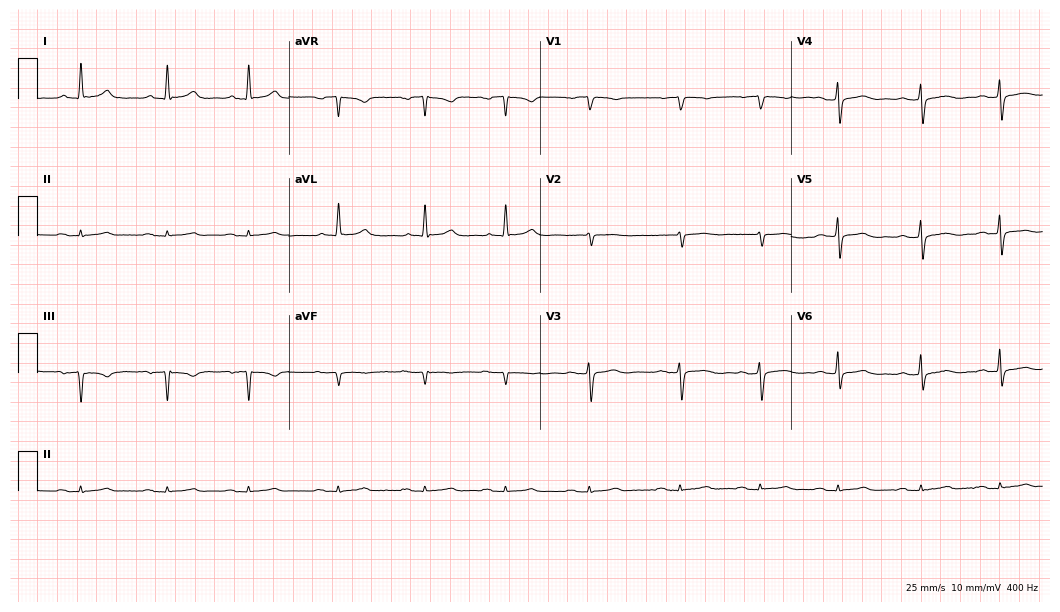
12-lead ECG from a 72-year-old man (10.2-second recording at 400 Hz). No first-degree AV block, right bundle branch block, left bundle branch block, sinus bradycardia, atrial fibrillation or sinus tachycardia recorded for this tracing.